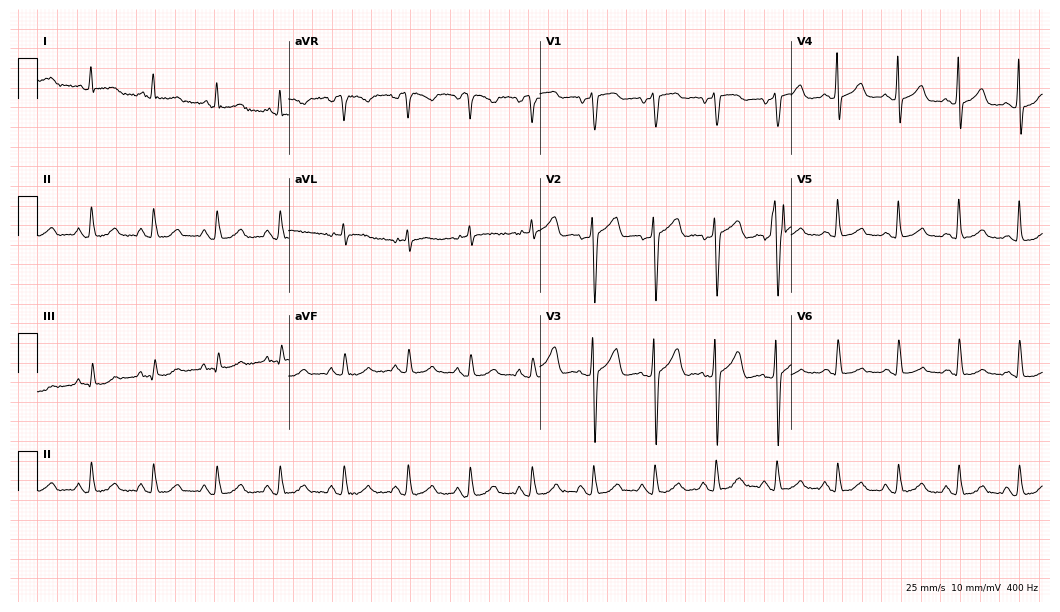
Resting 12-lead electrocardiogram (10.2-second recording at 400 Hz). Patient: a male, 57 years old. None of these six findings is recorded: first-degree AV block, right bundle branch block, left bundle branch block, sinus bradycardia, atrial fibrillation, sinus tachycardia.